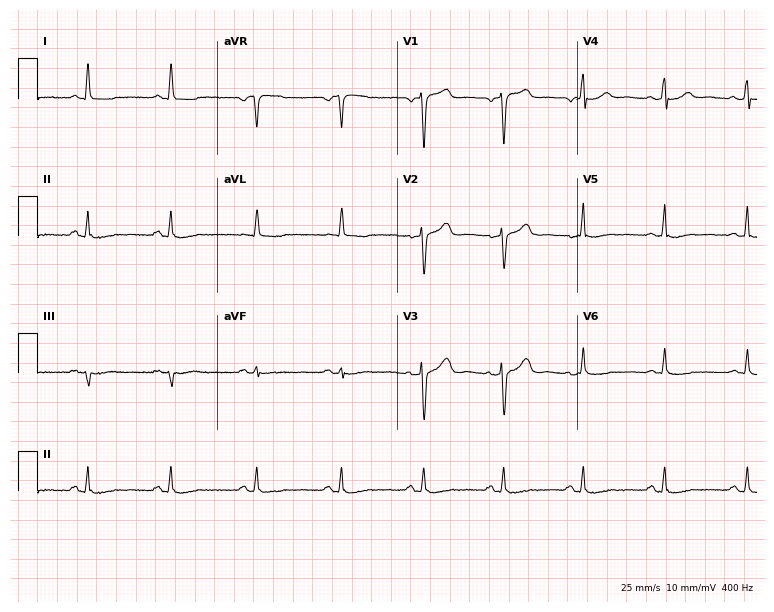
ECG (7.3-second recording at 400 Hz) — a woman, 48 years old. Screened for six findings — first-degree AV block, right bundle branch block (RBBB), left bundle branch block (LBBB), sinus bradycardia, atrial fibrillation (AF), sinus tachycardia — none is recorded.